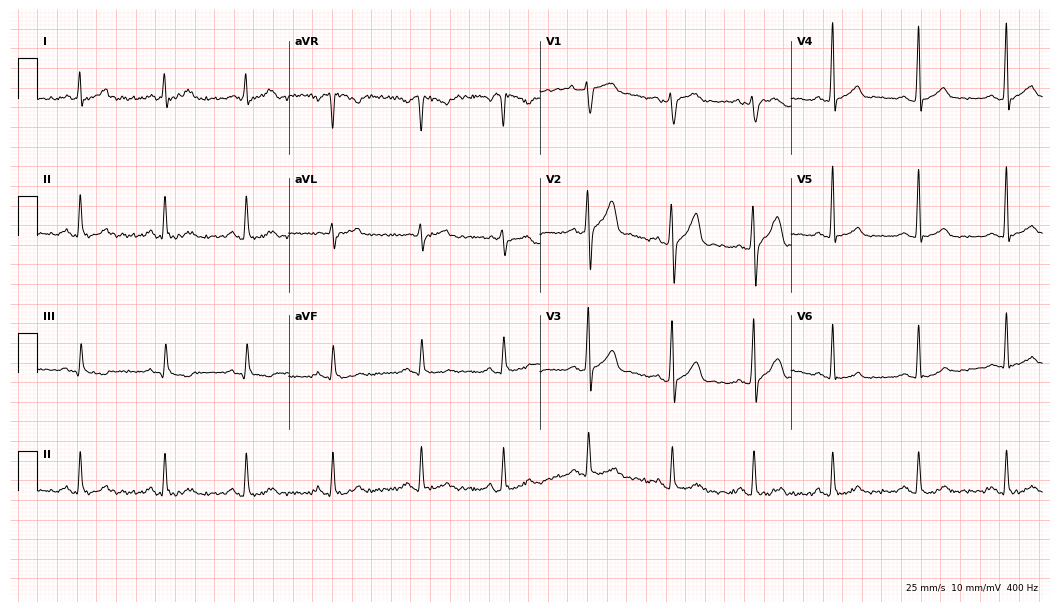
12-lead ECG from a male patient, 36 years old. Screened for six findings — first-degree AV block, right bundle branch block, left bundle branch block, sinus bradycardia, atrial fibrillation, sinus tachycardia — none is recorded.